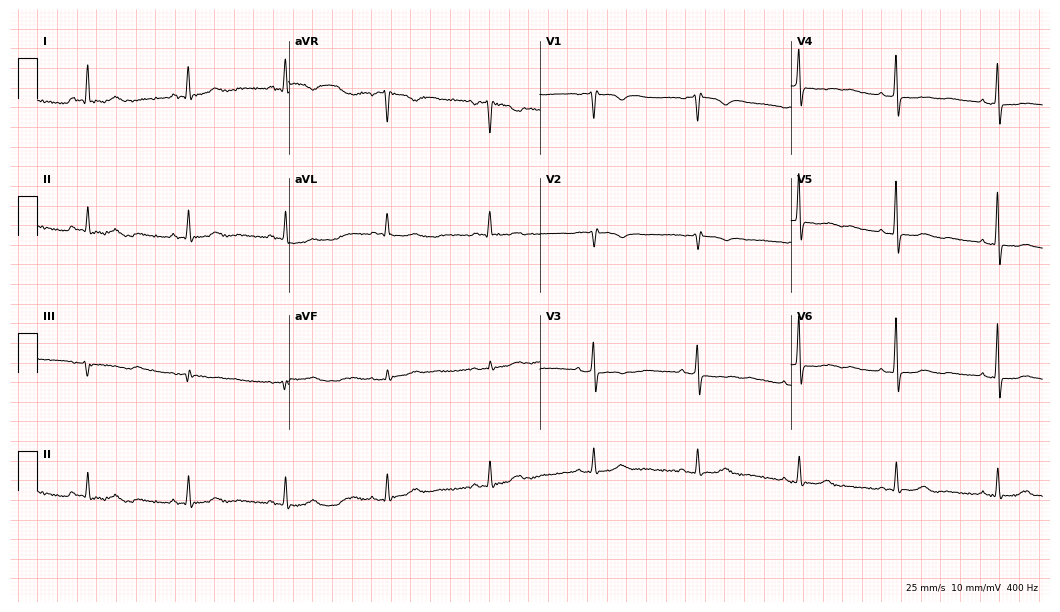
Resting 12-lead electrocardiogram (10.2-second recording at 400 Hz). Patient: a female, 60 years old. None of these six findings is recorded: first-degree AV block, right bundle branch block, left bundle branch block, sinus bradycardia, atrial fibrillation, sinus tachycardia.